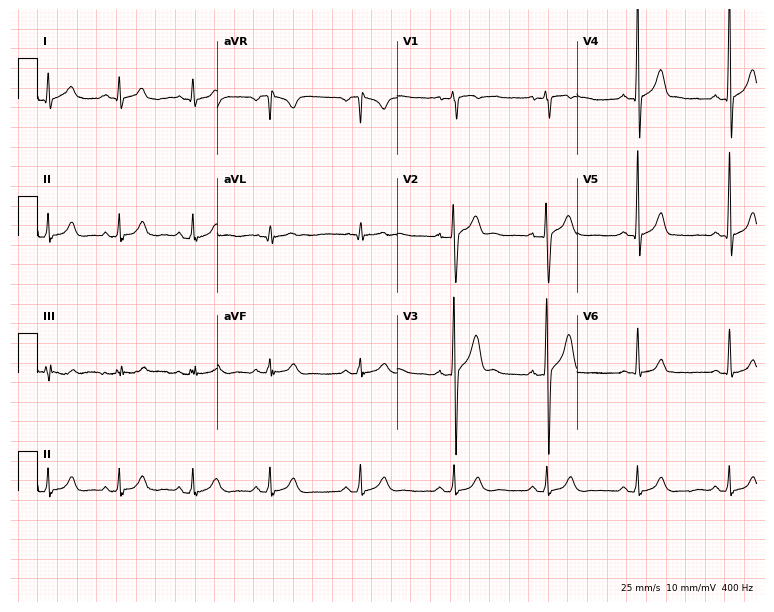
12-lead ECG from a 17-year-old man. Recorded interpretation: within normal limits.